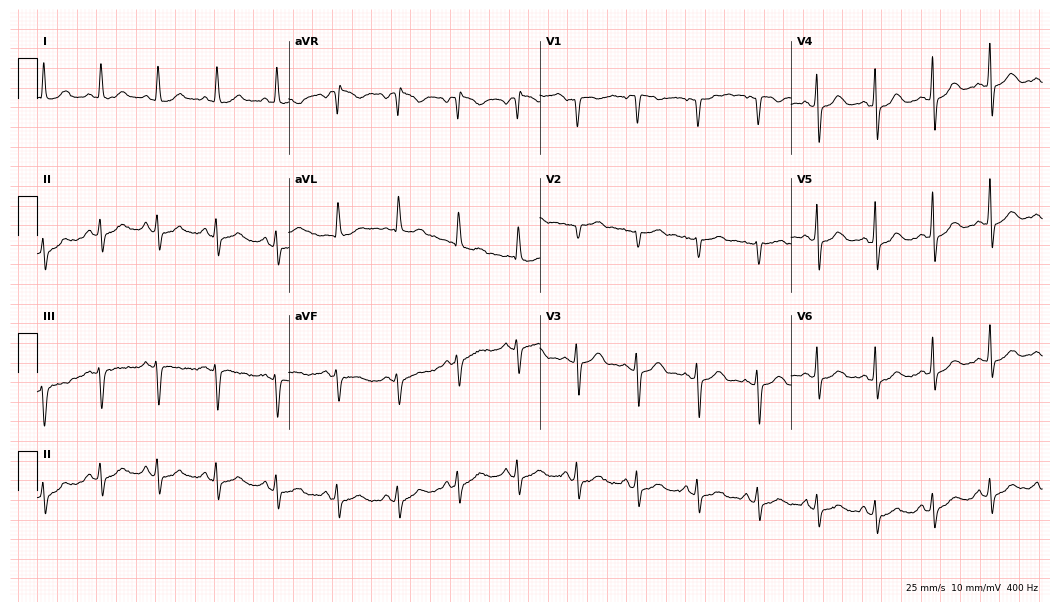
ECG — a 41-year-old female. Screened for six findings — first-degree AV block, right bundle branch block (RBBB), left bundle branch block (LBBB), sinus bradycardia, atrial fibrillation (AF), sinus tachycardia — none is recorded. Only these six findings were labelled.